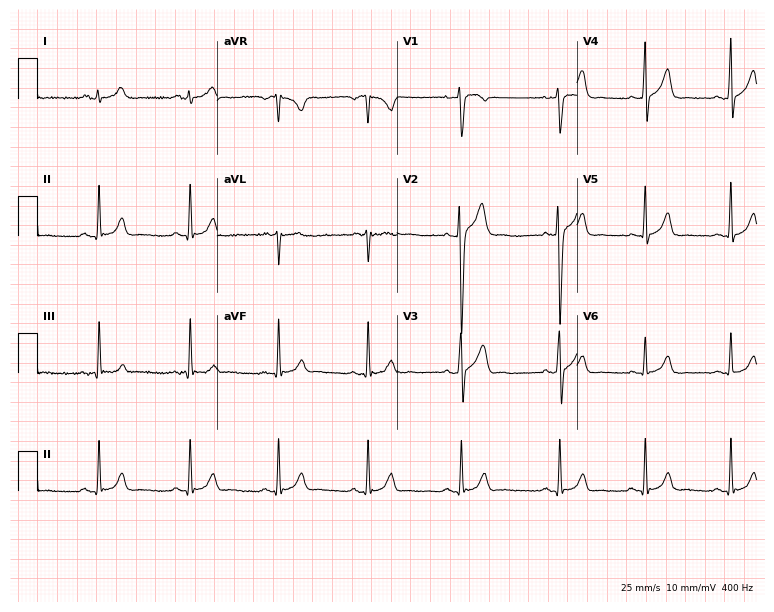
12-lead ECG from a man, 23 years old. Labelled as a normal ECG.